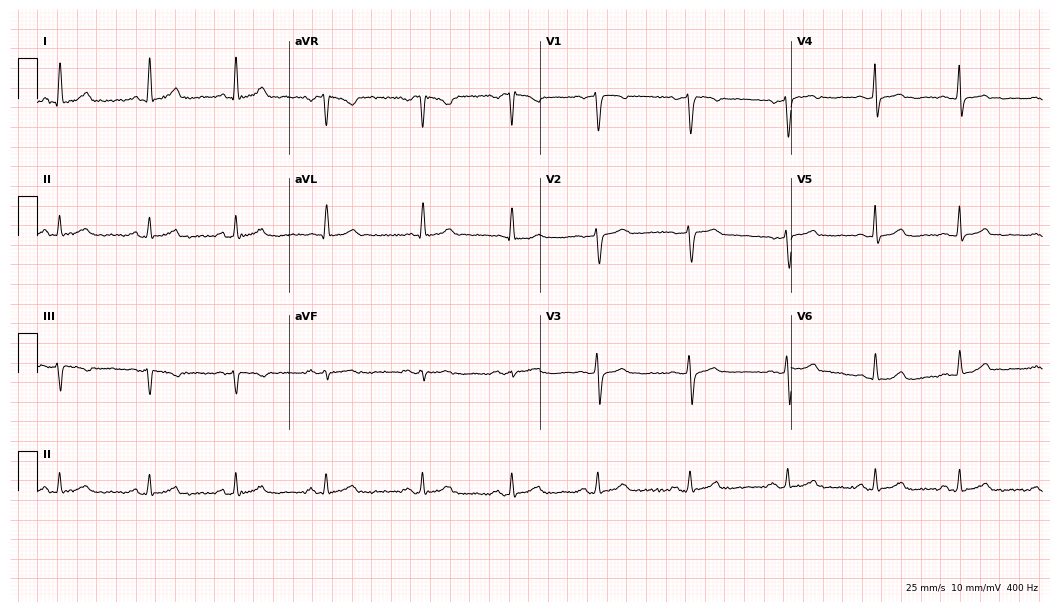
Resting 12-lead electrocardiogram (10.2-second recording at 400 Hz). Patient: a woman, 52 years old. Read as a normal ECG.